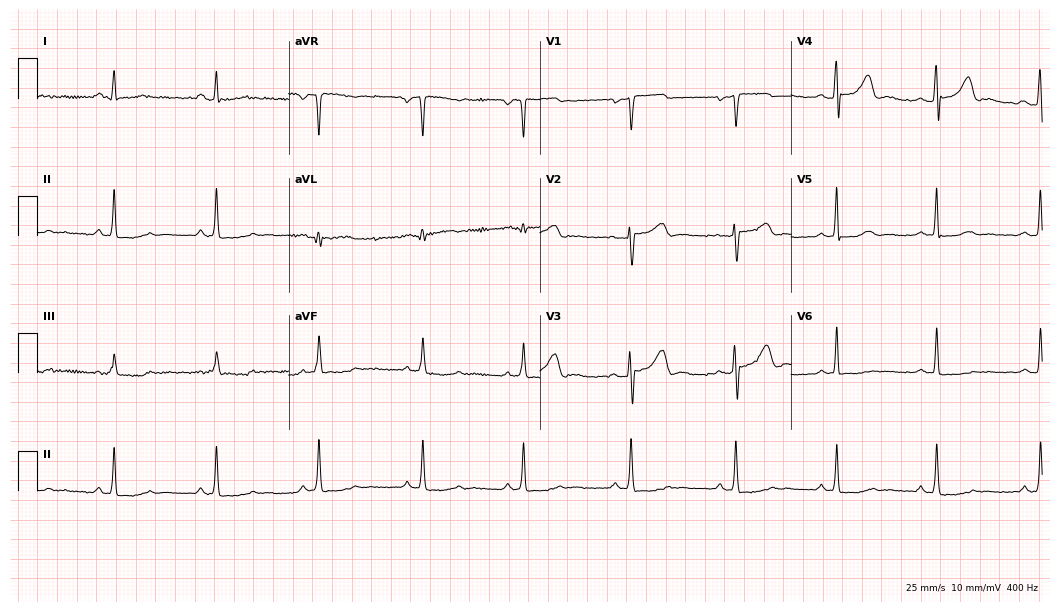
Standard 12-lead ECG recorded from a 35-year-old female. None of these six findings is recorded: first-degree AV block, right bundle branch block (RBBB), left bundle branch block (LBBB), sinus bradycardia, atrial fibrillation (AF), sinus tachycardia.